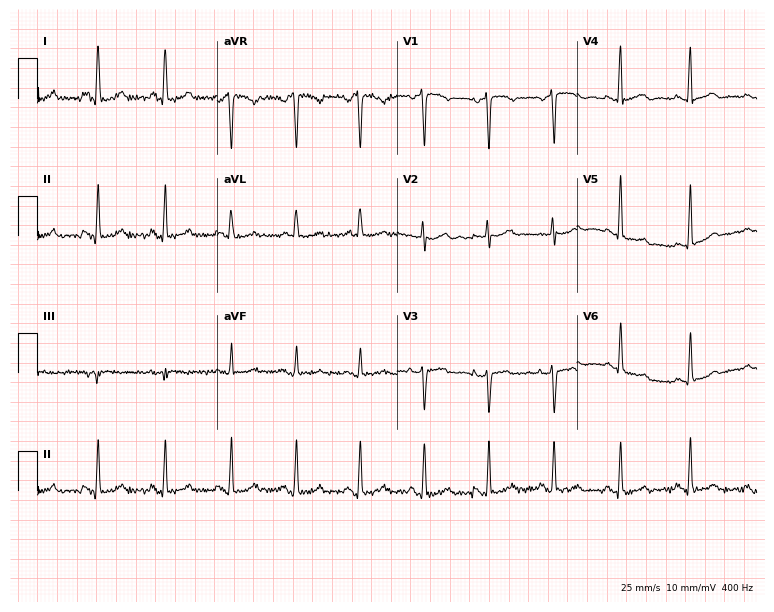
Standard 12-lead ECG recorded from a woman, 55 years old (7.3-second recording at 400 Hz). None of these six findings is recorded: first-degree AV block, right bundle branch block, left bundle branch block, sinus bradycardia, atrial fibrillation, sinus tachycardia.